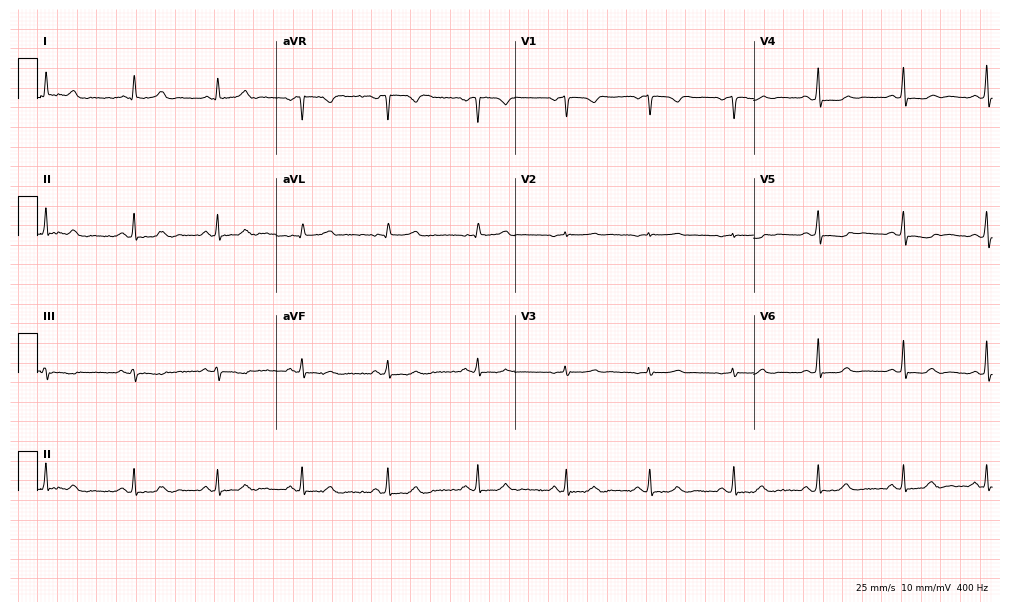
Resting 12-lead electrocardiogram. Patient: a 54-year-old female. None of these six findings is recorded: first-degree AV block, right bundle branch block, left bundle branch block, sinus bradycardia, atrial fibrillation, sinus tachycardia.